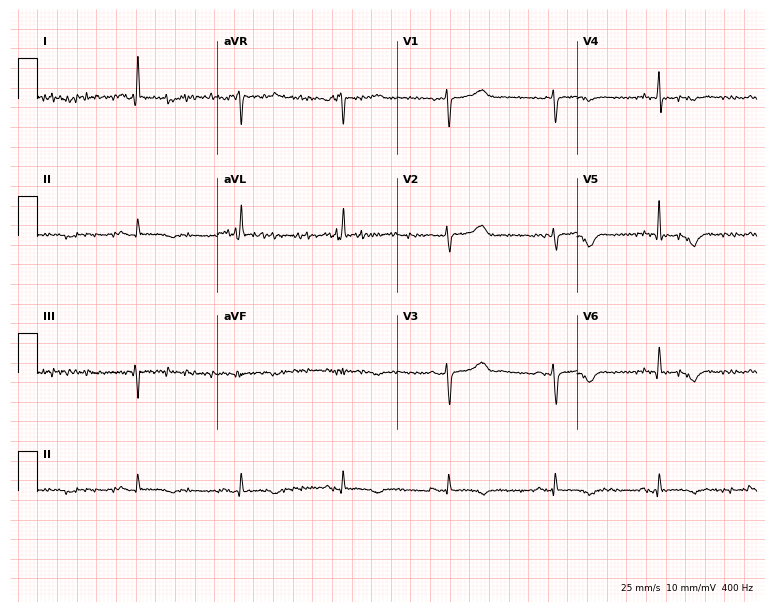
12-lead ECG from a male patient, 55 years old. No first-degree AV block, right bundle branch block, left bundle branch block, sinus bradycardia, atrial fibrillation or sinus tachycardia recorded for this tracing.